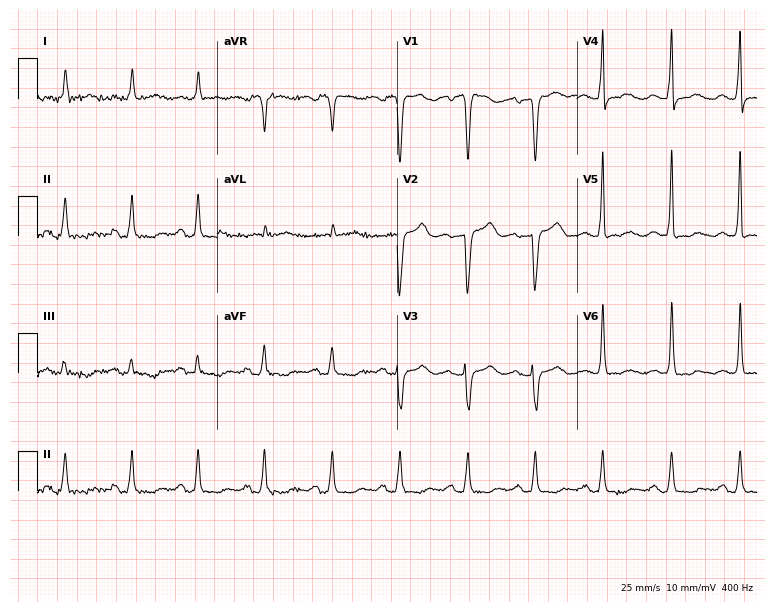
12-lead ECG from a woman, 82 years old. Screened for six findings — first-degree AV block, right bundle branch block (RBBB), left bundle branch block (LBBB), sinus bradycardia, atrial fibrillation (AF), sinus tachycardia — none is recorded.